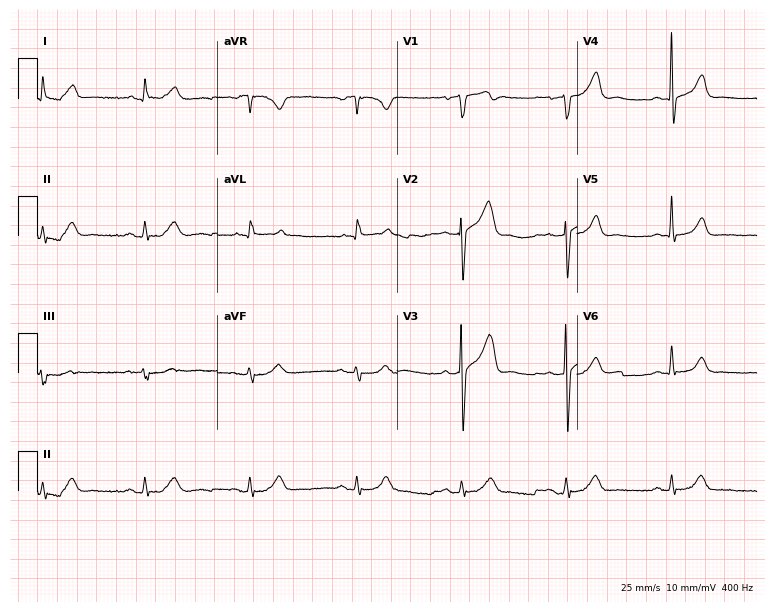
Resting 12-lead electrocardiogram. Patient: a man, 78 years old. Read as a normal ECG.